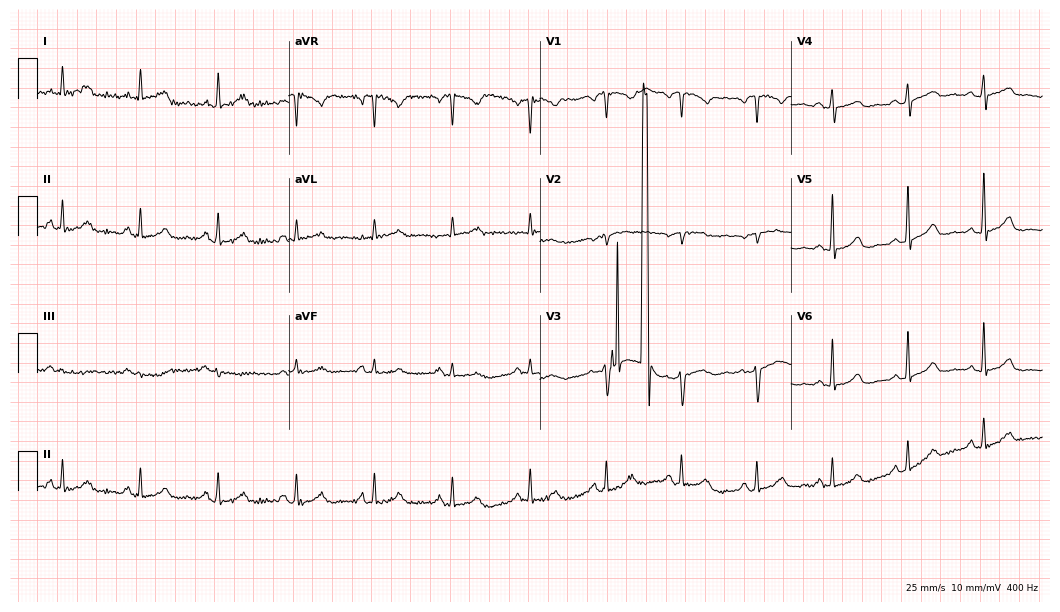
Electrocardiogram, a female, 62 years old. Overall reading on record: normal ECG.